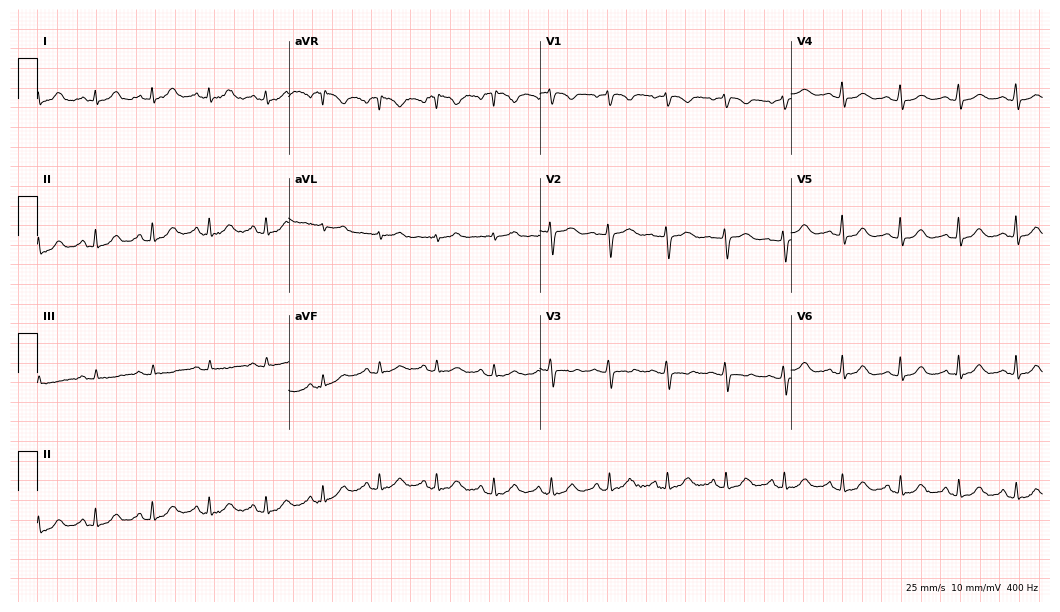
ECG (10.2-second recording at 400 Hz) — a female patient, 39 years old. Findings include sinus tachycardia (a sinus rate of 100 beats per minute or more).